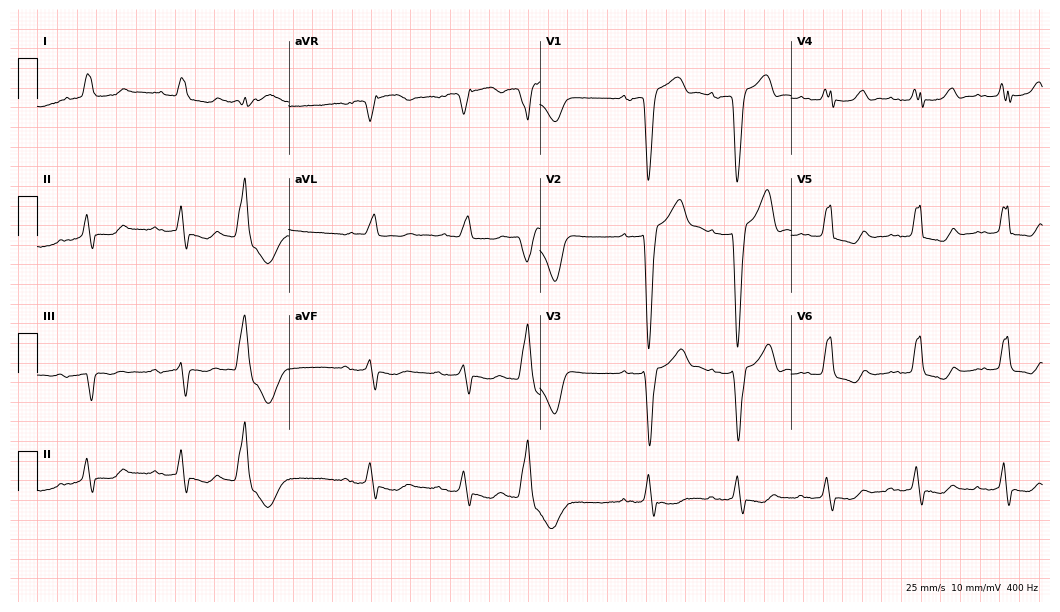
12-lead ECG from a 76-year-old male patient. Findings include first-degree AV block, left bundle branch block.